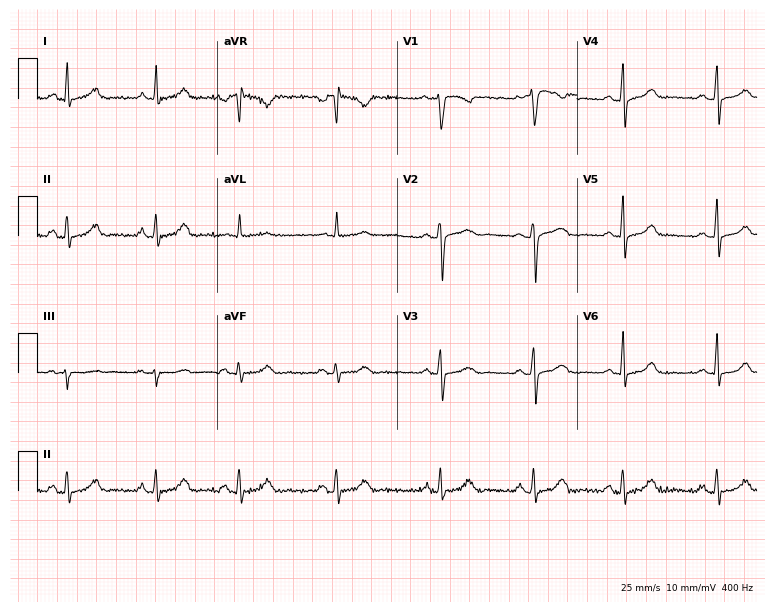
12-lead ECG (7.3-second recording at 400 Hz) from a 36-year-old female patient. Labelled as a normal ECG.